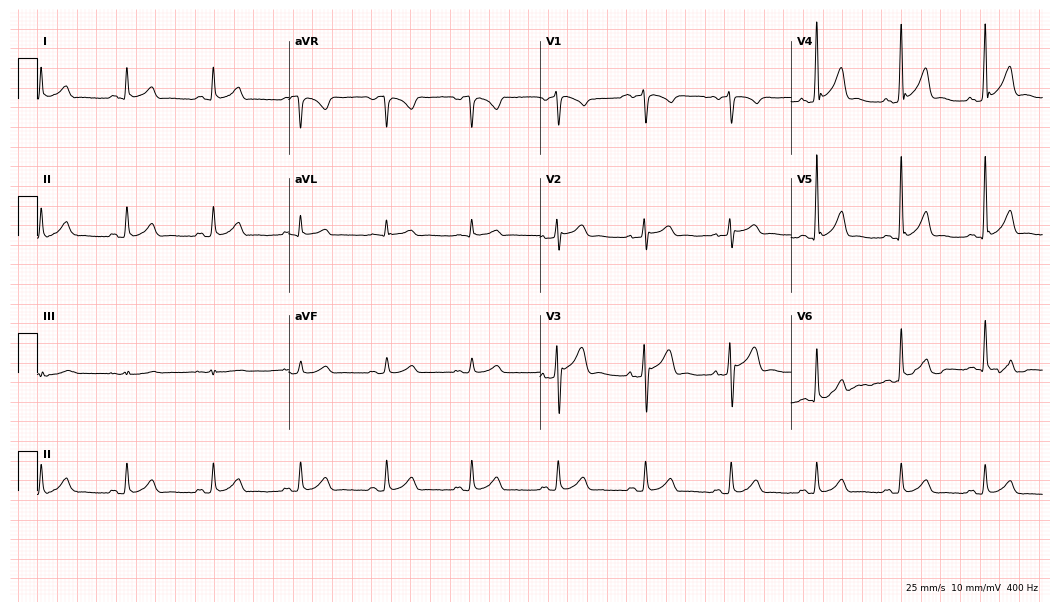
ECG (10.2-second recording at 400 Hz) — a man, 42 years old. Labelled as a normal ECG.